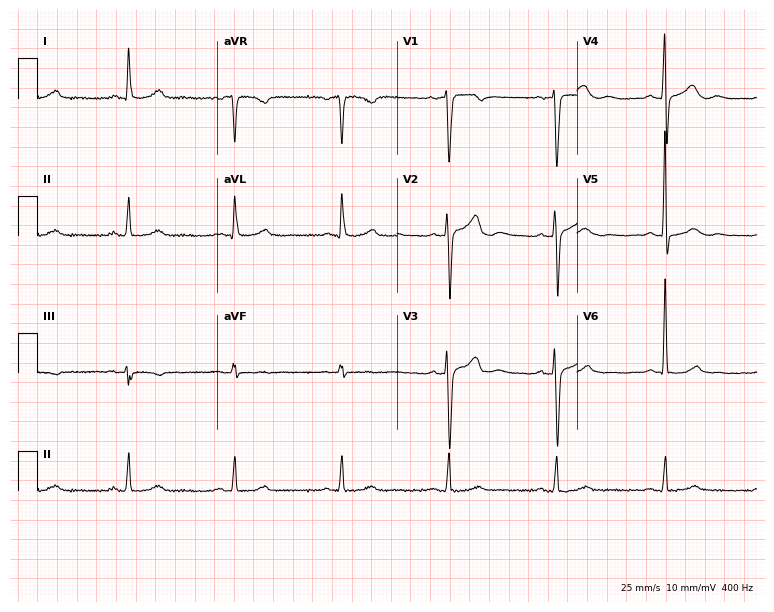
12-lead ECG from a 76-year-old male. Labelled as a normal ECG.